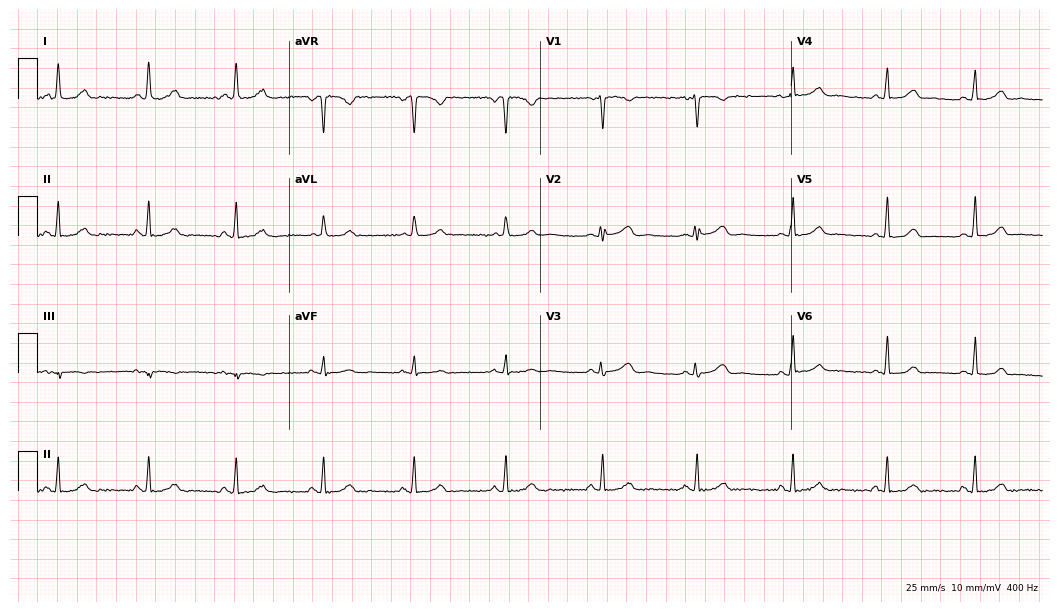
12-lead ECG from a woman, 47 years old. Labelled as a normal ECG.